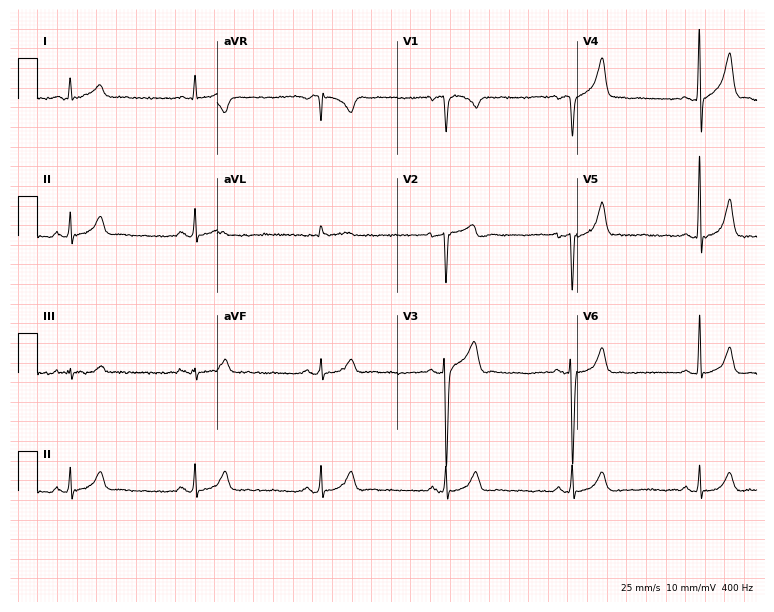
Resting 12-lead electrocardiogram (7.3-second recording at 400 Hz). Patient: a 50-year-old man. None of these six findings is recorded: first-degree AV block, right bundle branch block, left bundle branch block, sinus bradycardia, atrial fibrillation, sinus tachycardia. Findings outside these six are not listed.